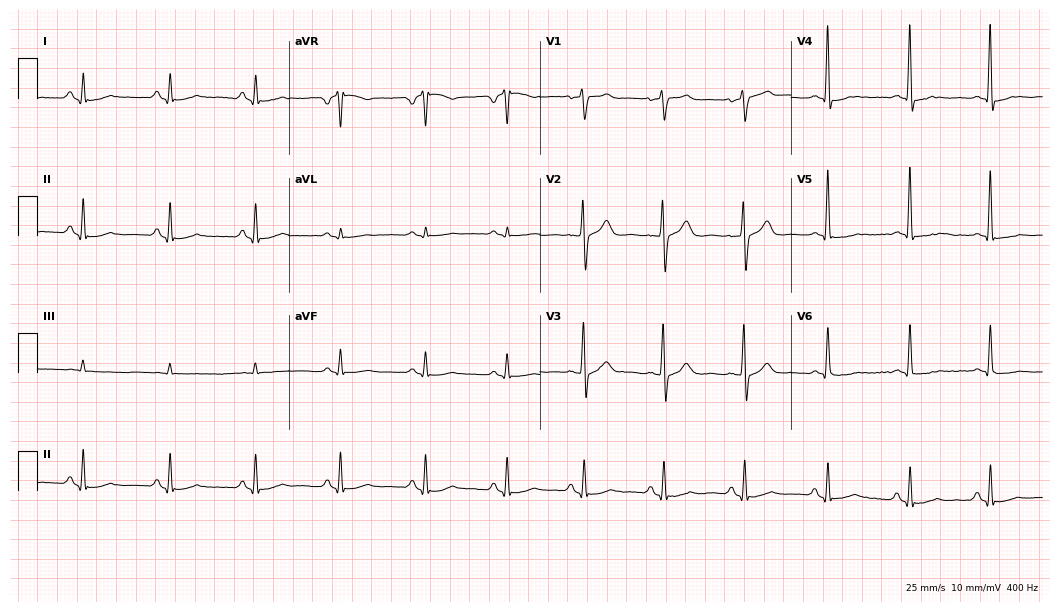
ECG (10.2-second recording at 400 Hz) — a 72-year-old male patient. Screened for six findings — first-degree AV block, right bundle branch block, left bundle branch block, sinus bradycardia, atrial fibrillation, sinus tachycardia — none is recorded. Other findings, if any, are not listed.